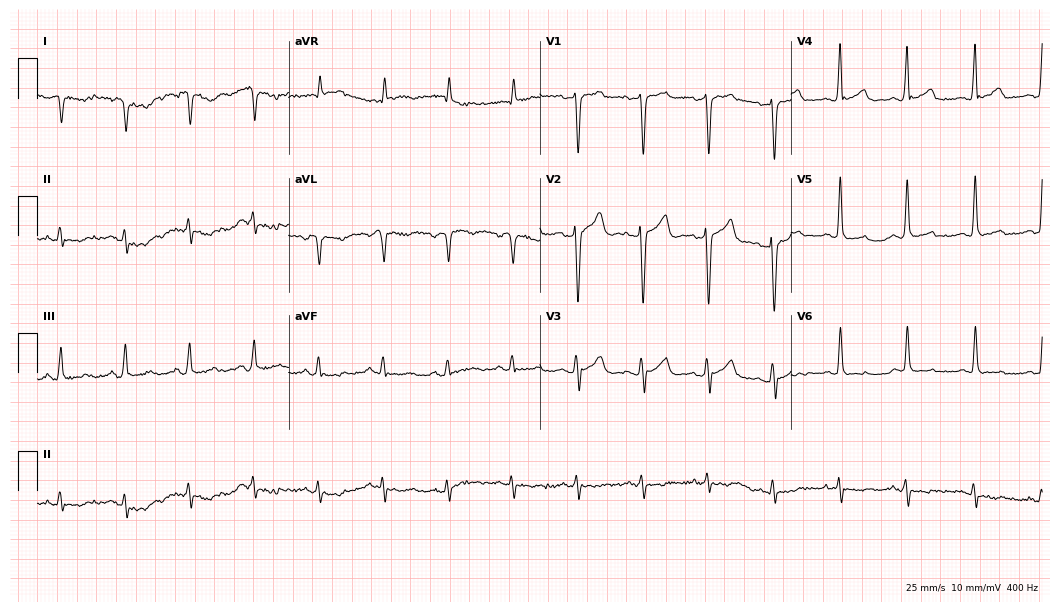
Electrocardiogram, a man, 58 years old. Of the six screened findings (first-degree AV block, right bundle branch block (RBBB), left bundle branch block (LBBB), sinus bradycardia, atrial fibrillation (AF), sinus tachycardia), none is recorded.